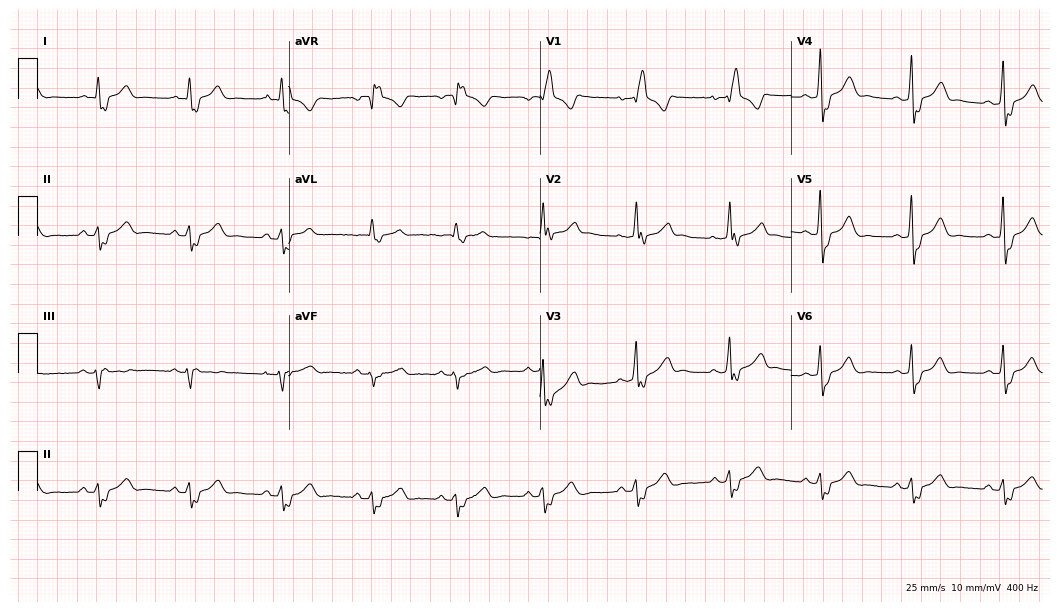
Resting 12-lead electrocardiogram (10.2-second recording at 400 Hz). Patient: a man, 44 years old. The tracing shows right bundle branch block.